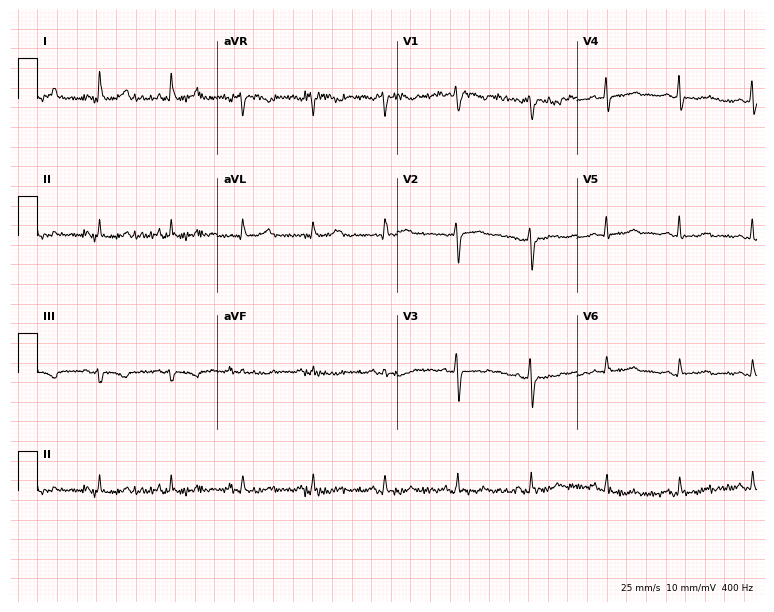
Standard 12-lead ECG recorded from a 51-year-old female. None of these six findings is recorded: first-degree AV block, right bundle branch block, left bundle branch block, sinus bradycardia, atrial fibrillation, sinus tachycardia.